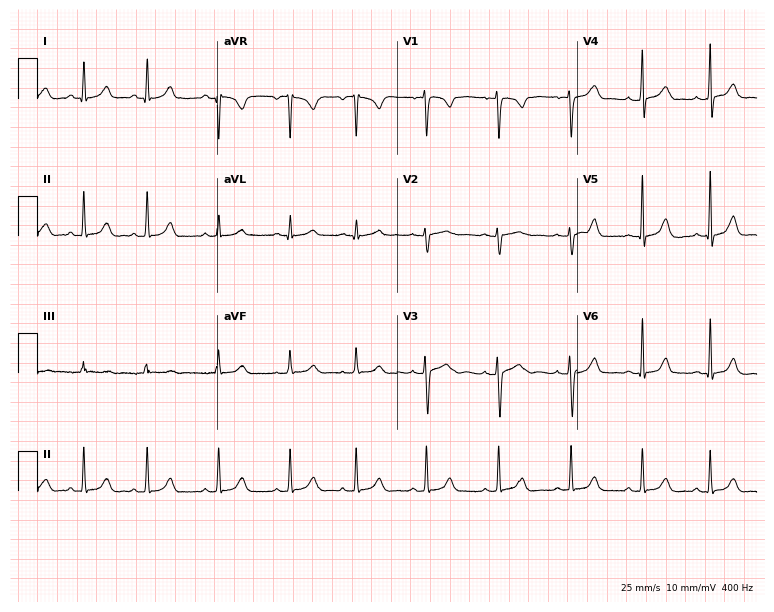
12-lead ECG (7.3-second recording at 400 Hz) from a female patient, 26 years old. Labelled as a normal ECG.